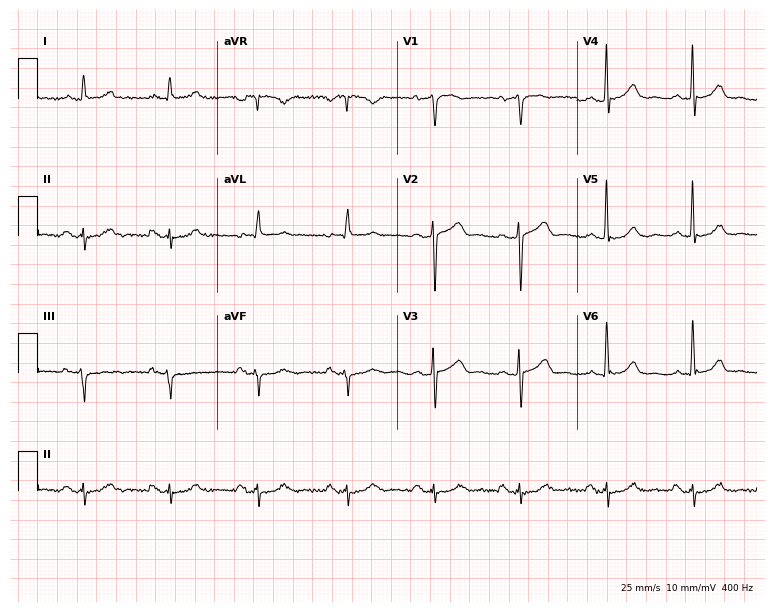
Standard 12-lead ECG recorded from a male, 63 years old (7.3-second recording at 400 Hz). None of these six findings is recorded: first-degree AV block, right bundle branch block, left bundle branch block, sinus bradycardia, atrial fibrillation, sinus tachycardia. Only these six findings were labelled.